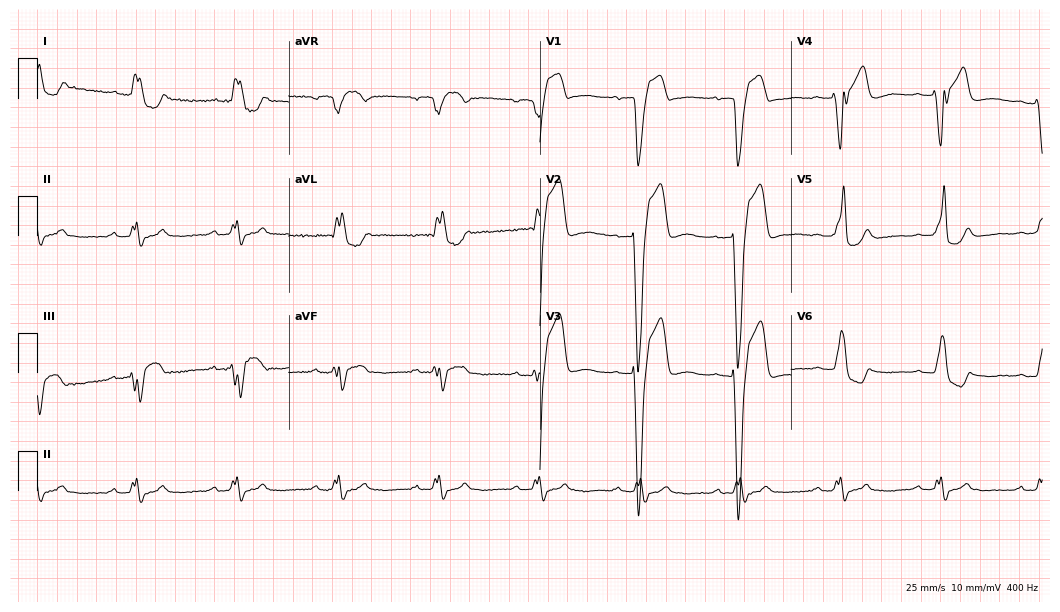
12-lead ECG from a 69-year-old woman. Findings include left bundle branch block.